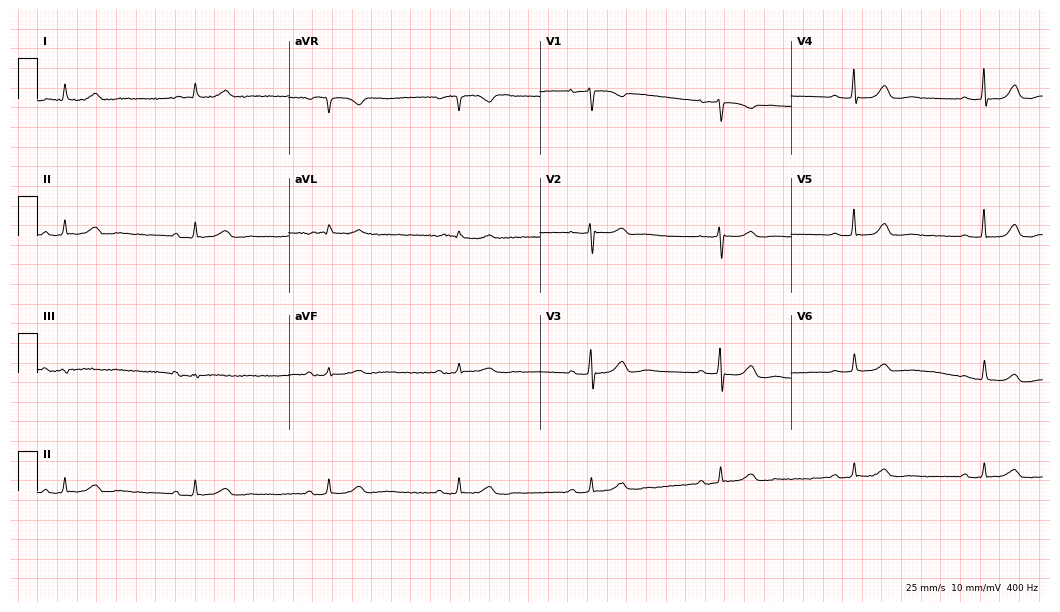
Standard 12-lead ECG recorded from an 83-year-old woman. The tracing shows sinus bradycardia (a sinus rate of 50 beats per minute or less).